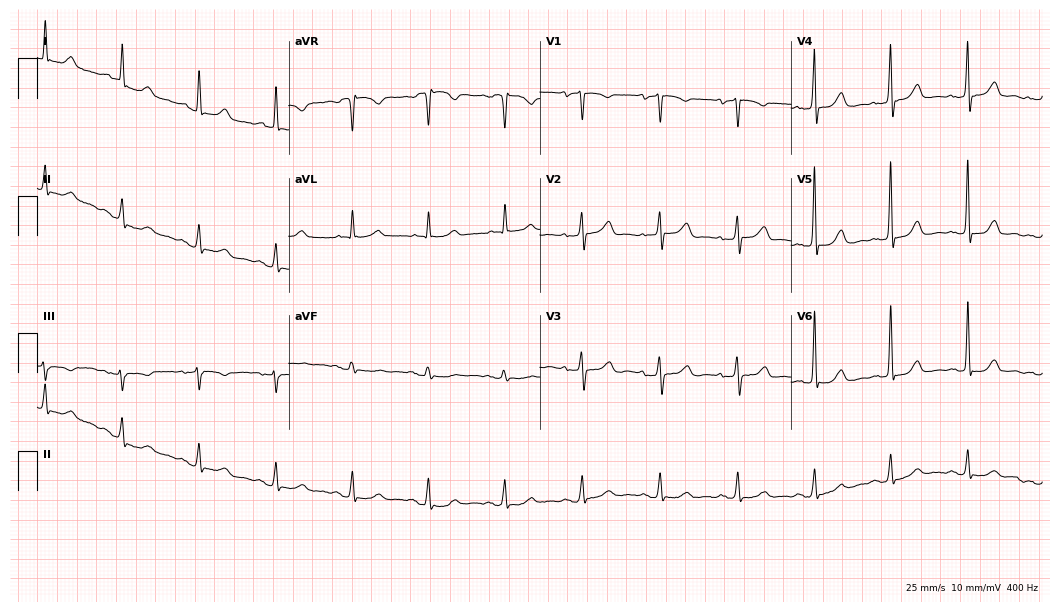
Standard 12-lead ECG recorded from an 80-year-old woman (10.2-second recording at 400 Hz). Read as a normal ECG.